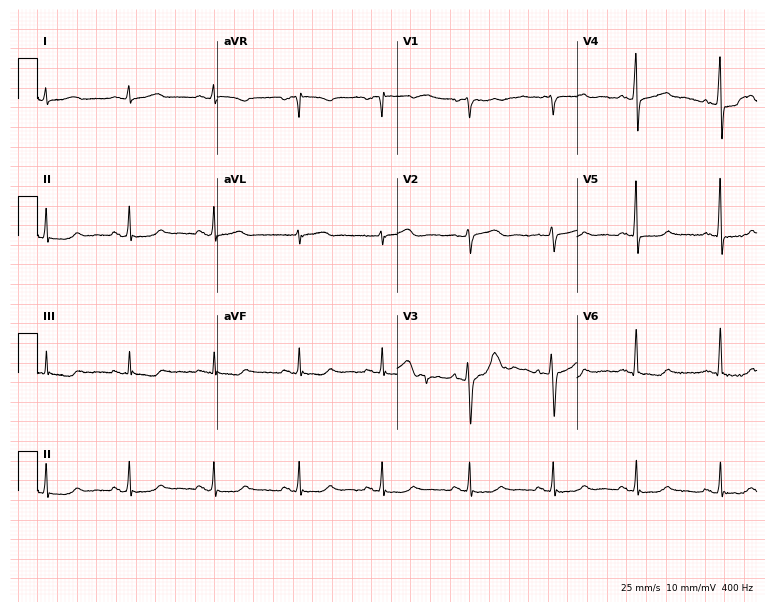
12-lead ECG (7.3-second recording at 400 Hz) from a female patient, 49 years old. Screened for six findings — first-degree AV block, right bundle branch block, left bundle branch block, sinus bradycardia, atrial fibrillation, sinus tachycardia — none is recorded.